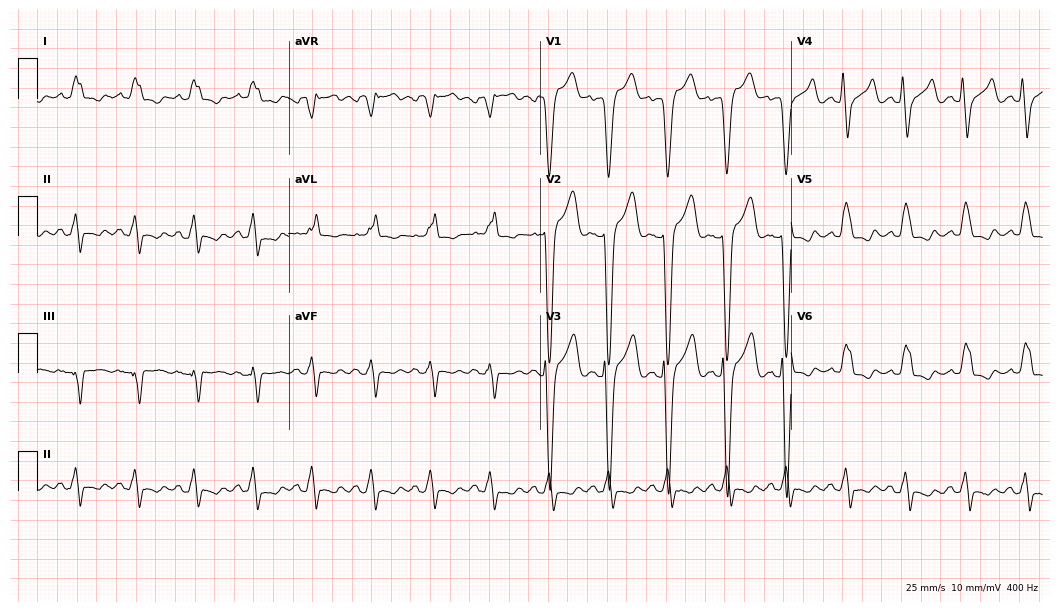
12-lead ECG (10.2-second recording at 400 Hz) from a man, 65 years old. Findings include left bundle branch block.